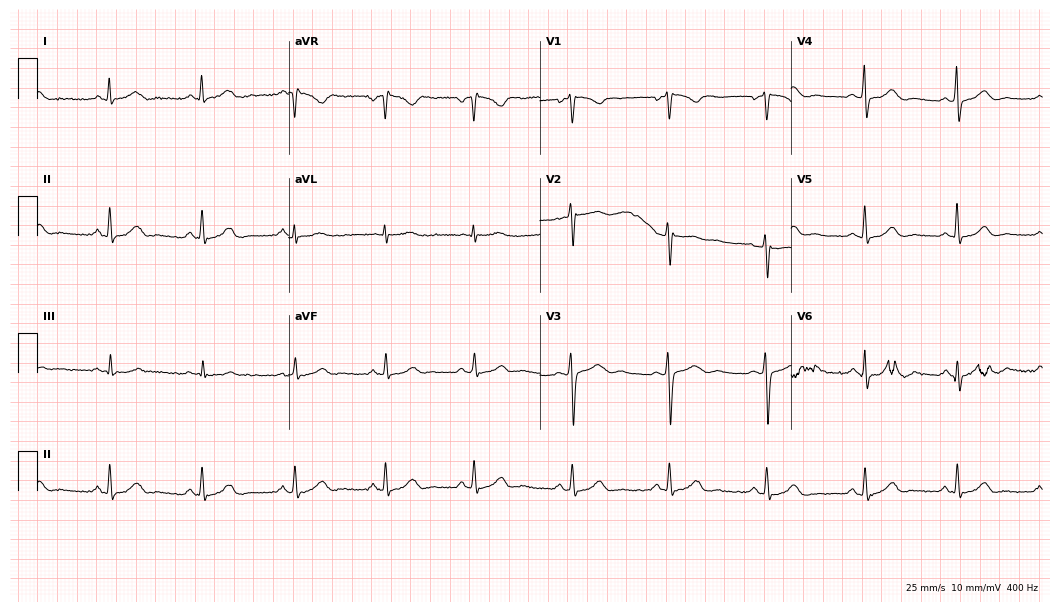
Standard 12-lead ECG recorded from a 34-year-old woman. Read as a normal ECG.